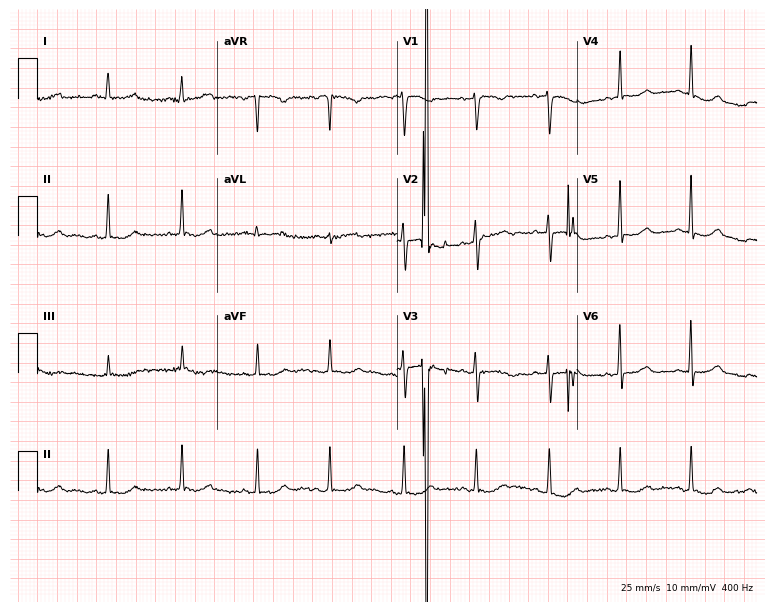
12-lead ECG from a 44-year-old woman. Screened for six findings — first-degree AV block, right bundle branch block, left bundle branch block, sinus bradycardia, atrial fibrillation, sinus tachycardia — none is recorded. Only these six findings were labelled.